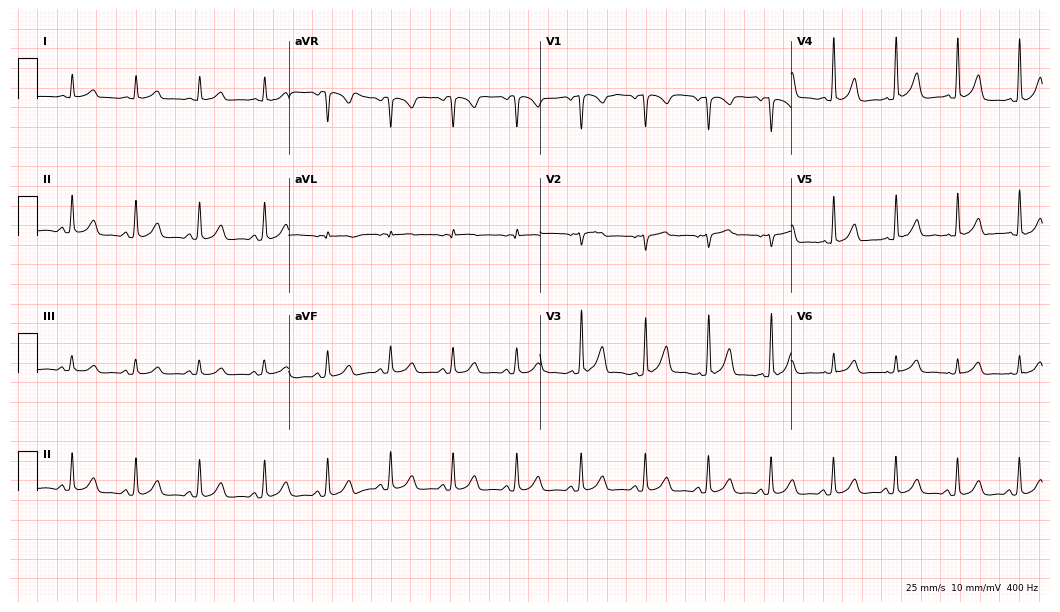
ECG (10.2-second recording at 400 Hz) — a man, 33 years old. Labelled as a normal ECG.